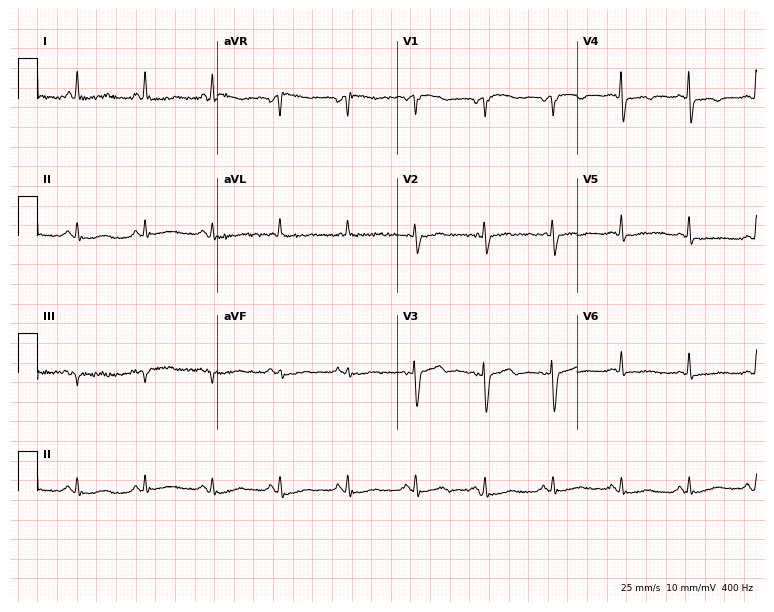
12-lead ECG from a female patient, 69 years old. Screened for six findings — first-degree AV block, right bundle branch block, left bundle branch block, sinus bradycardia, atrial fibrillation, sinus tachycardia — none is recorded.